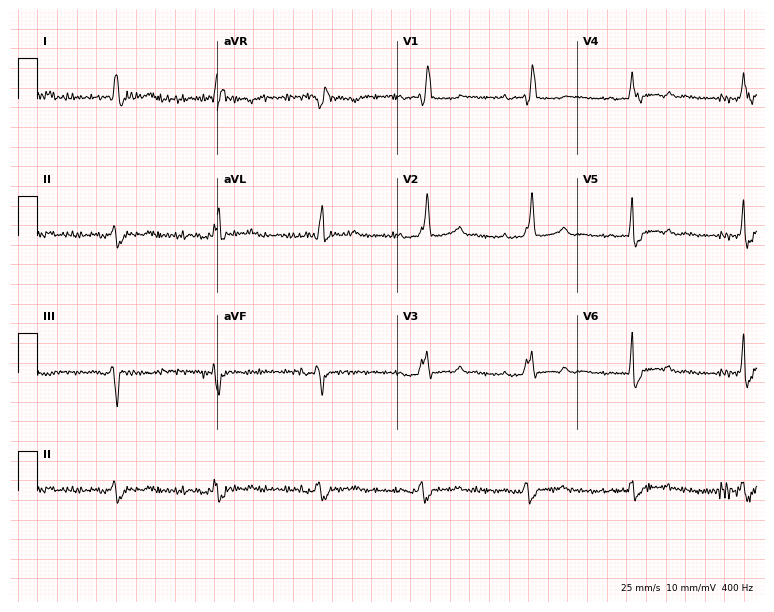
ECG (7.3-second recording at 400 Hz) — a woman, 77 years old. Screened for six findings — first-degree AV block, right bundle branch block (RBBB), left bundle branch block (LBBB), sinus bradycardia, atrial fibrillation (AF), sinus tachycardia — none is recorded.